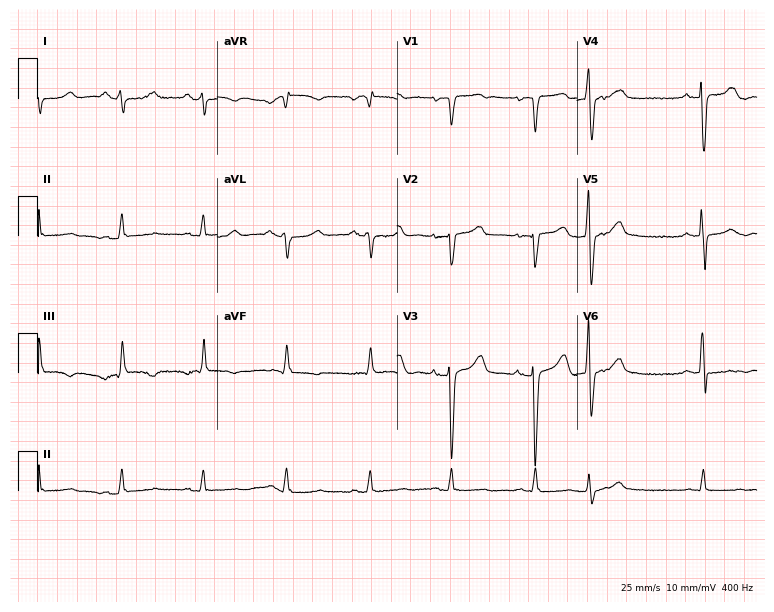
12-lead ECG (7.3-second recording at 400 Hz) from a 77-year-old male patient. Screened for six findings — first-degree AV block, right bundle branch block, left bundle branch block, sinus bradycardia, atrial fibrillation, sinus tachycardia — none is recorded. Only these six findings were labelled.